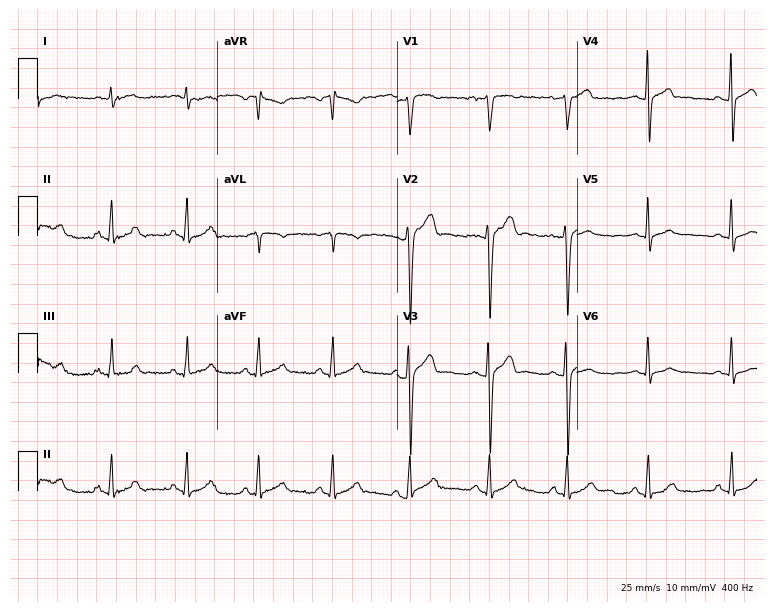
Standard 12-lead ECG recorded from a 24-year-old man. None of these six findings is recorded: first-degree AV block, right bundle branch block (RBBB), left bundle branch block (LBBB), sinus bradycardia, atrial fibrillation (AF), sinus tachycardia.